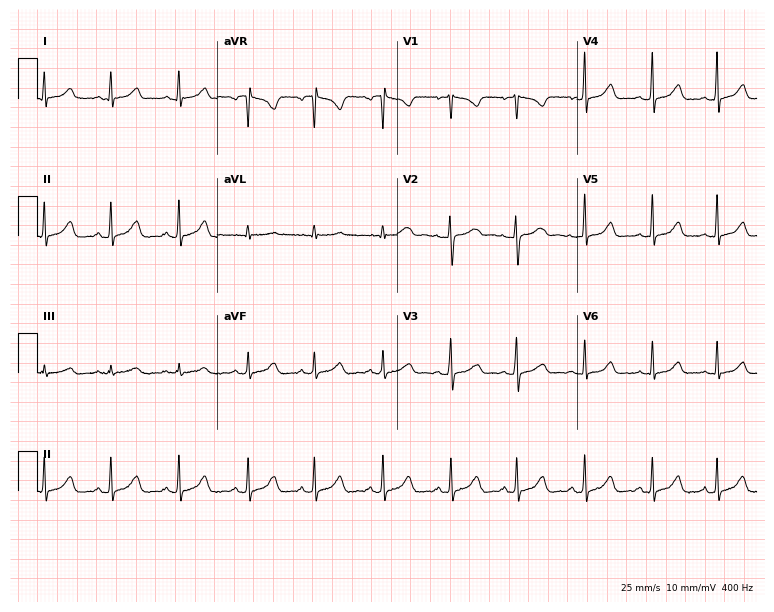
12-lead ECG from a female, 17 years old. Recorded interpretation: within normal limits.